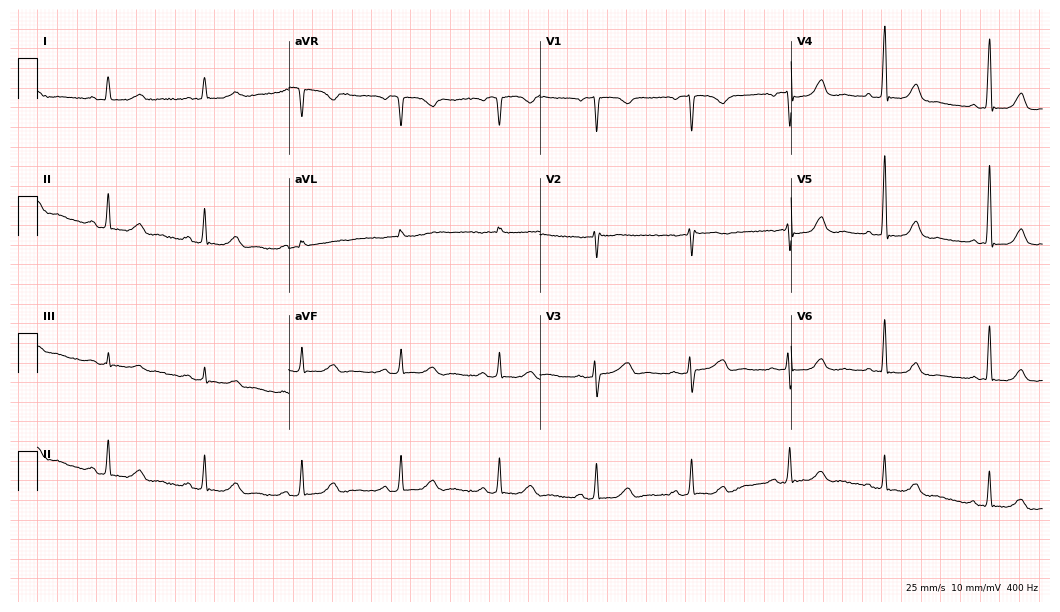
Electrocardiogram, a 65-year-old female. Of the six screened findings (first-degree AV block, right bundle branch block (RBBB), left bundle branch block (LBBB), sinus bradycardia, atrial fibrillation (AF), sinus tachycardia), none is recorded.